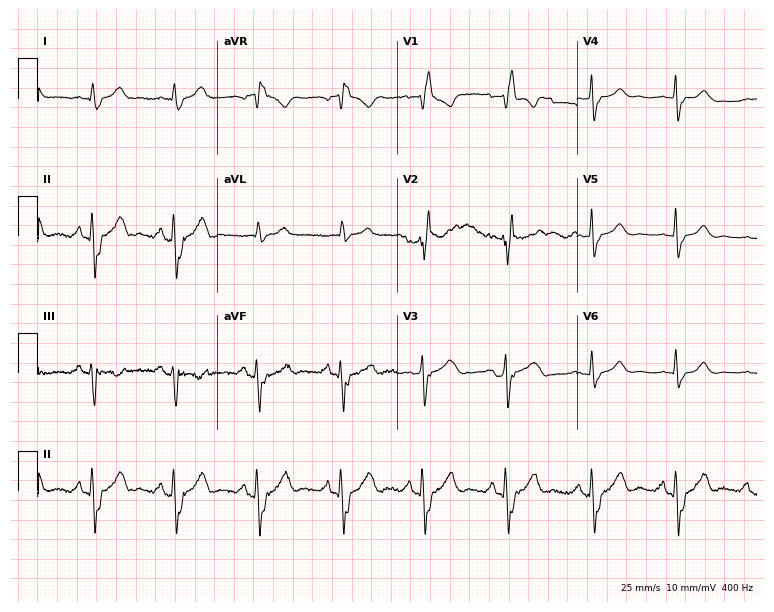
Electrocardiogram, a male patient, 64 years old. Interpretation includes right bundle branch block (RBBB).